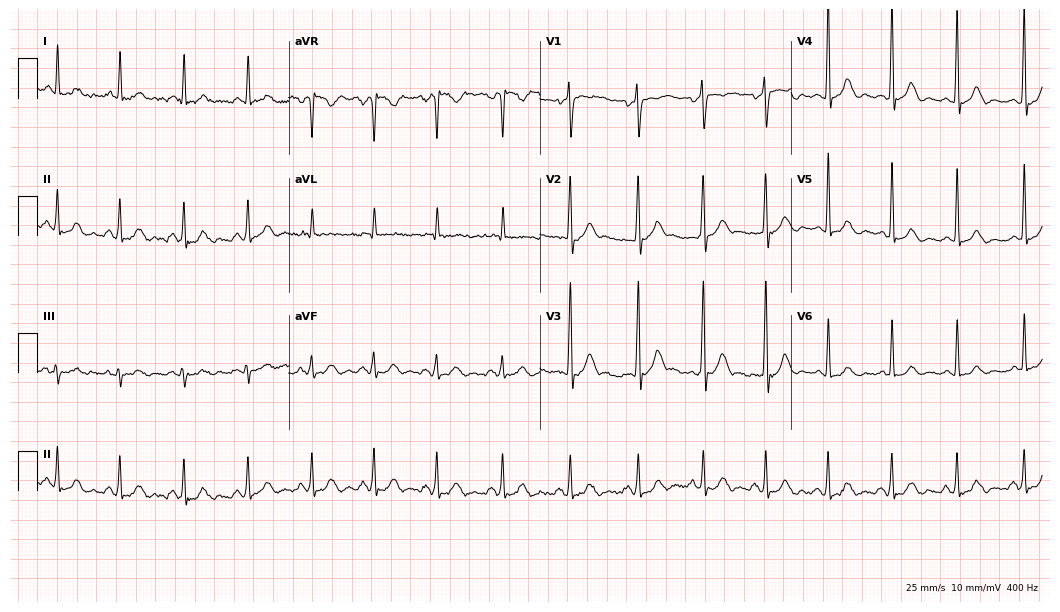
Resting 12-lead electrocardiogram (10.2-second recording at 400 Hz). Patient: a 58-year-old male. None of these six findings is recorded: first-degree AV block, right bundle branch block, left bundle branch block, sinus bradycardia, atrial fibrillation, sinus tachycardia. Findings outside these six are not listed.